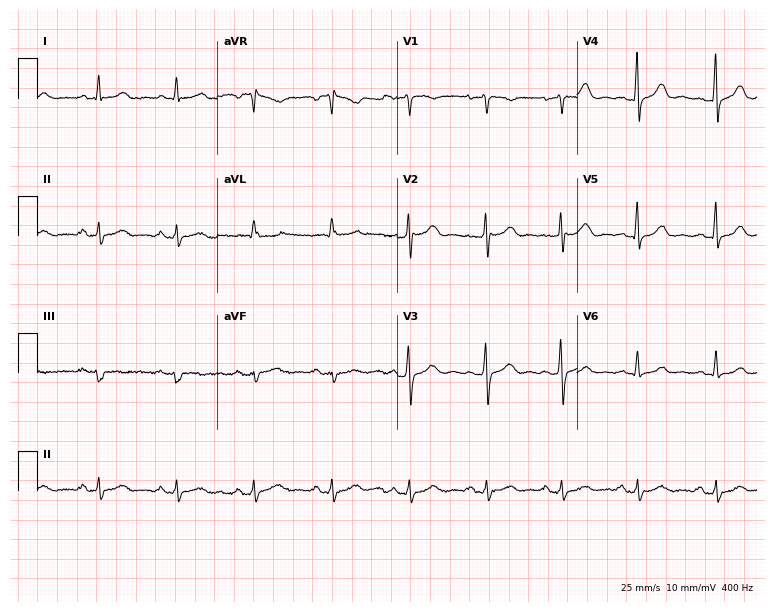
Electrocardiogram, a 40-year-old woman. Overall reading on record: normal ECG.